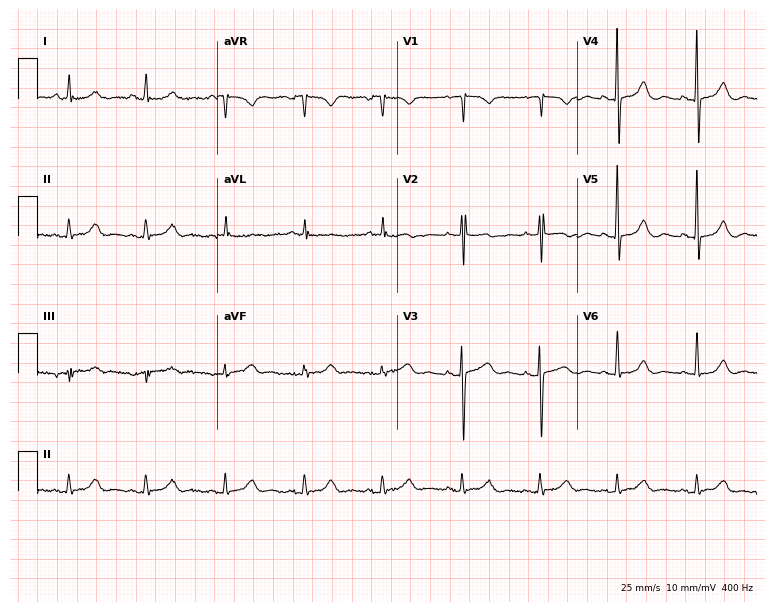
12-lead ECG from a female, 75 years old (7.3-second recording at 400 Hz). No first-degree AV block, right bundle branch block, left bundle branch block, sinus bradycardia, atrial fibrillation or sinus tachycardia recorded for this tracing. Findings outside these six are not listed.